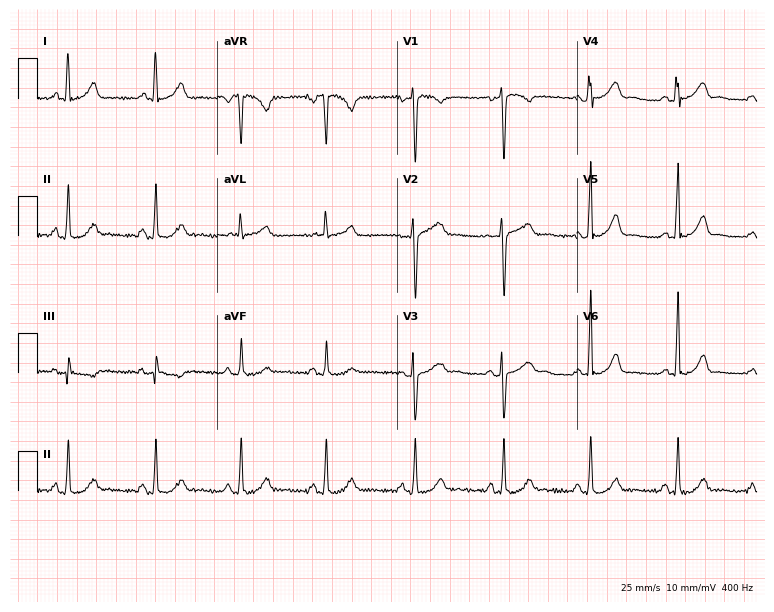
Standard 12-lead ECG recorded from a woman, 32 years old (7.3-second recording at 400 Hz). Read as a normal ECG.